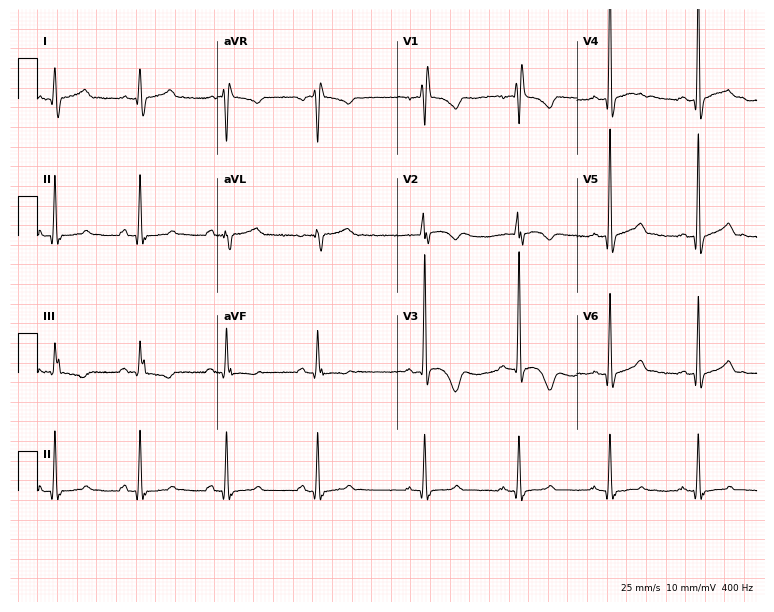
Standard 12-lead ECG recorded from a 49-year-old male patient (7.3-second recording at 400 Hz). None of these six findings is recorded: first-degree AV block, right bundle branch block, left bundle branch block, sinus bradycardia, atrial fibrillation, sinus tachycardia. Other findings, if any, are not listed.